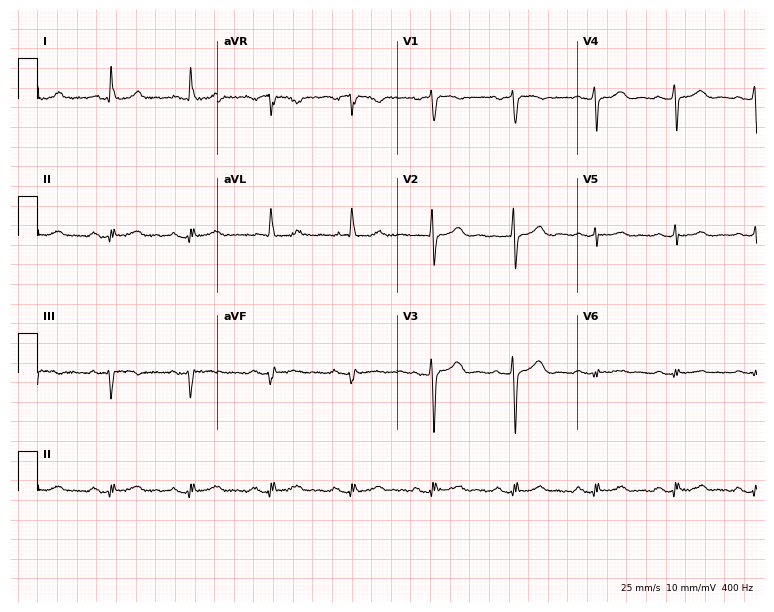
ECG — a woman, 80 years old. Screened for six findings — first-degree AV block, right bundle branch block, left bundle branch block, sinus bradycardia, atrial fibrillation, sinus tachycardia — none is recorded.